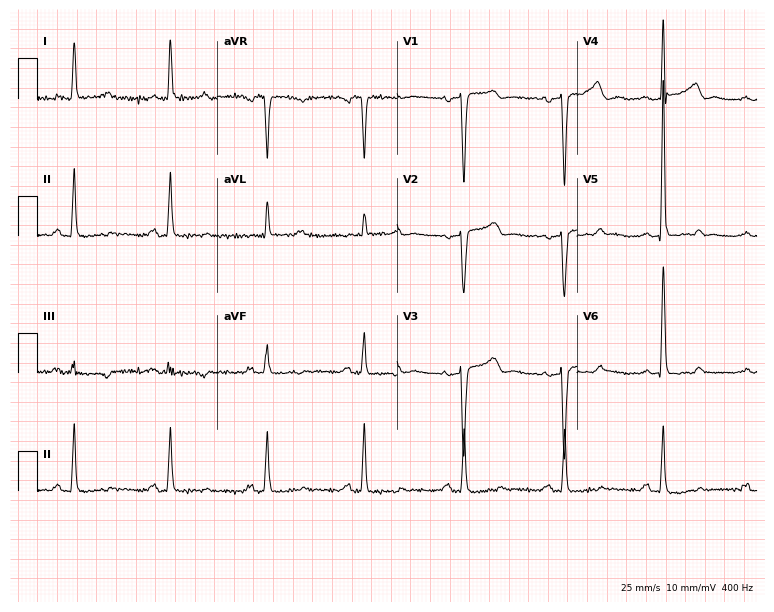
12-lead ECG (7.3-second recording at 400 Hz) from a female patient, 66 years old. Screened for six findings — first-degree AV block, right bundle branch block, left bundle branch block, sinus bradycardia, atrial fibrillation, sinus tachycardia — none is recorded.